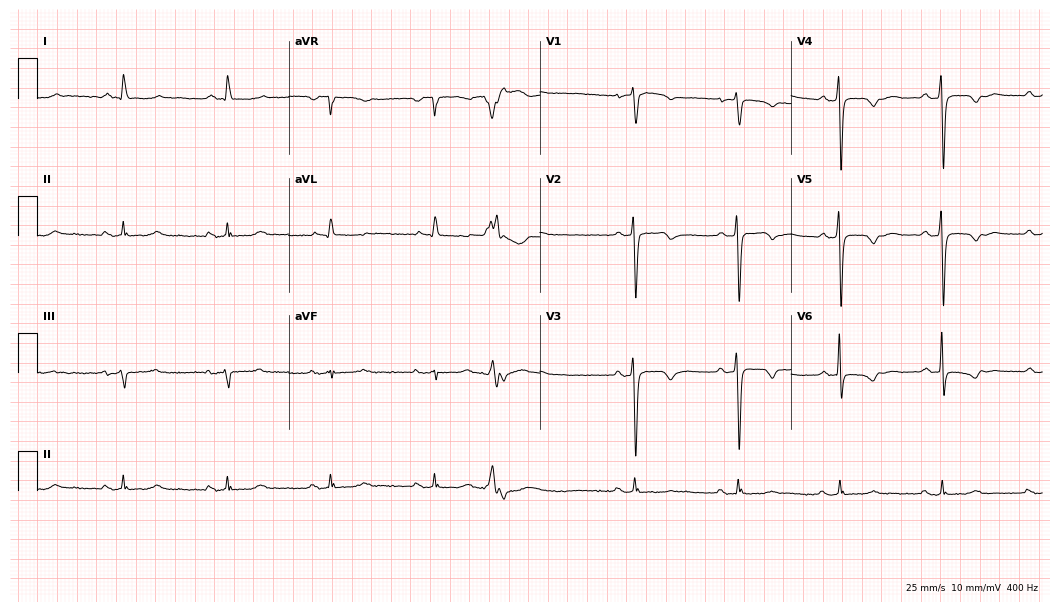
12-lead ECG (10.2-second recording at 400 Hz) from a female patient, 71 years old. Screened for six findings — first-degree AV block, right bundle branch block, left bundle branch block, sinus bradycardia, atrial fibrillation, sinus tachycardia — none is recorded. Other findings, if any, are not listed.